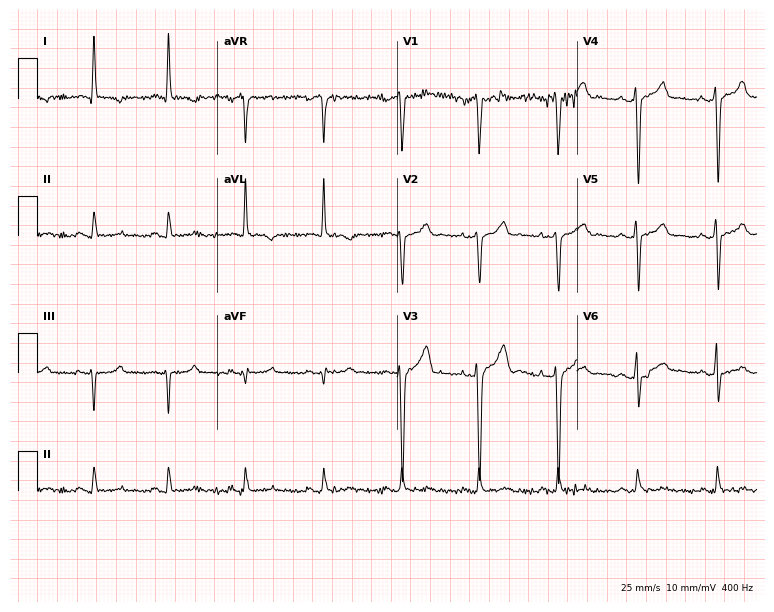
ECG — a 29-year-old man. Screened for six findings — first-degree AV block, right bundle branch block (RBBB), left bundle branch block (LBBB), sinus bradycardia, atrial fibrillation (AF), sinus tachycardia — none is recorded. Other findings, if any, are not listed.